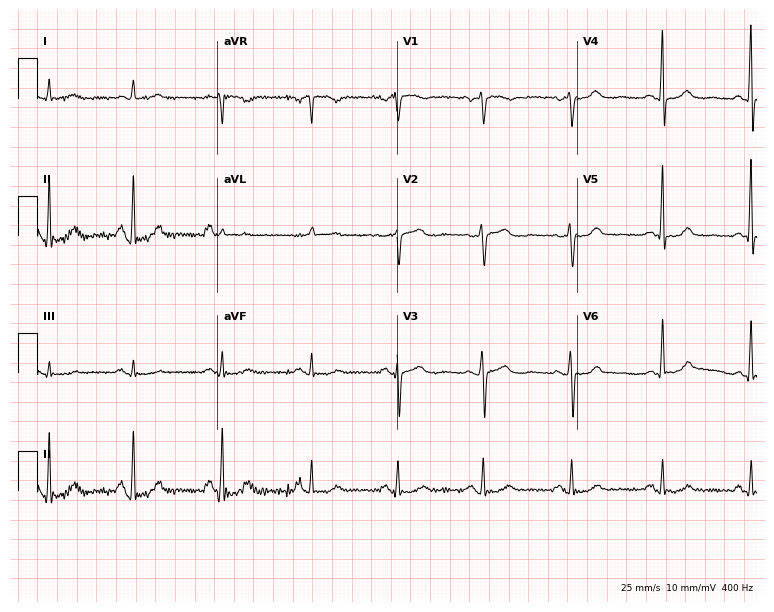
Resting 12-lead electrocardiogram. Patient: a 59-year-old female. None of these six findings is recorded: first-degree AV block, right bundle branch block (RBBB), left bundle branch block (LBBB), sinus bradycardia, atrial fibrillation (AF), sinus tachycardia. Only these six findings were labelled.